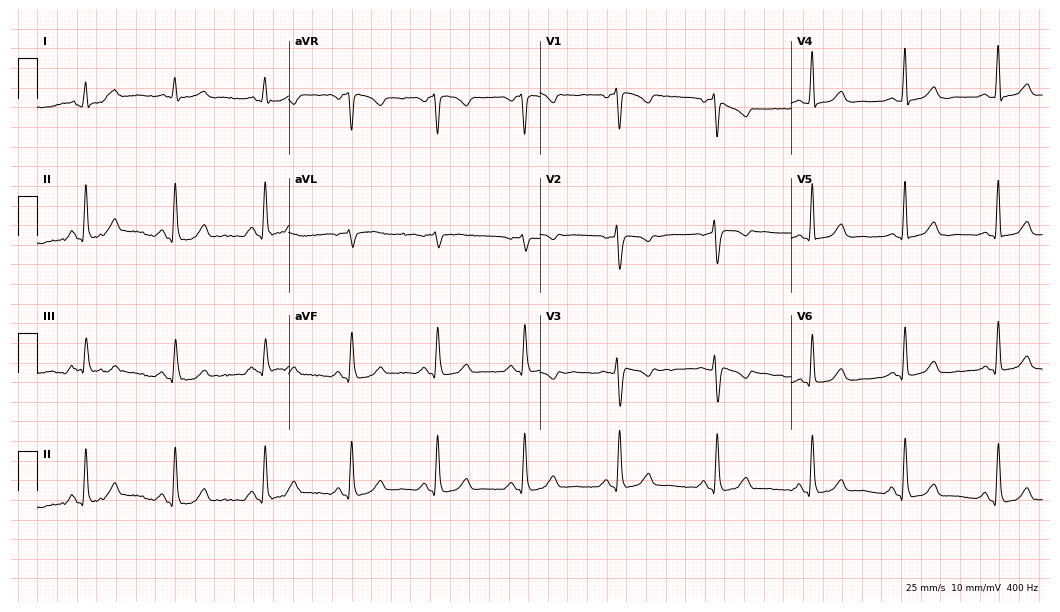
Electrocardiogram (10.2-second recording at 400 Hz), a 33-year-old female. Of the six screened findings (first-degree AV block, right bundle branch block (RBBB), left bundle branch block (LBBB), sinus bradycardia, atrial fibrillation (AF), sinus tachycardia), none is recorded.